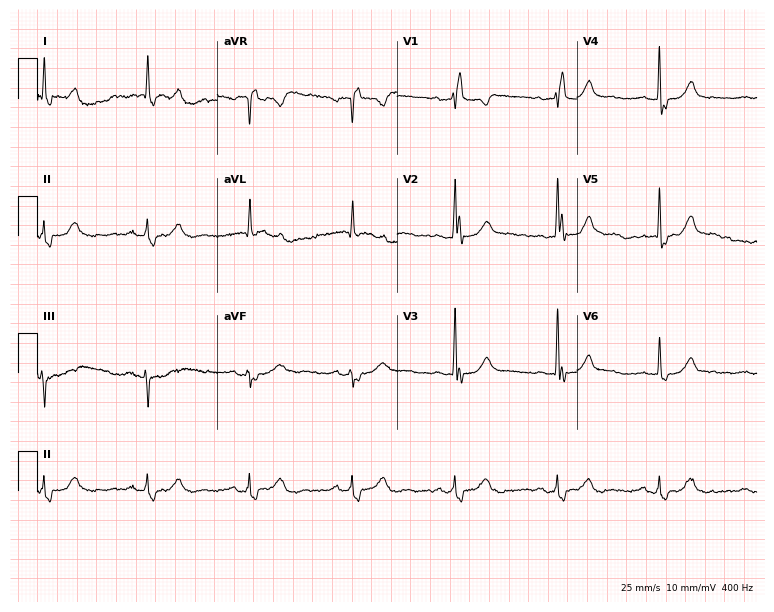
Resting 12-lead electrocardiogram (7.3-second recording at 400 Hz). Patient: a female, 75 years old. The tracing shows right bundle branch block (RBBB).